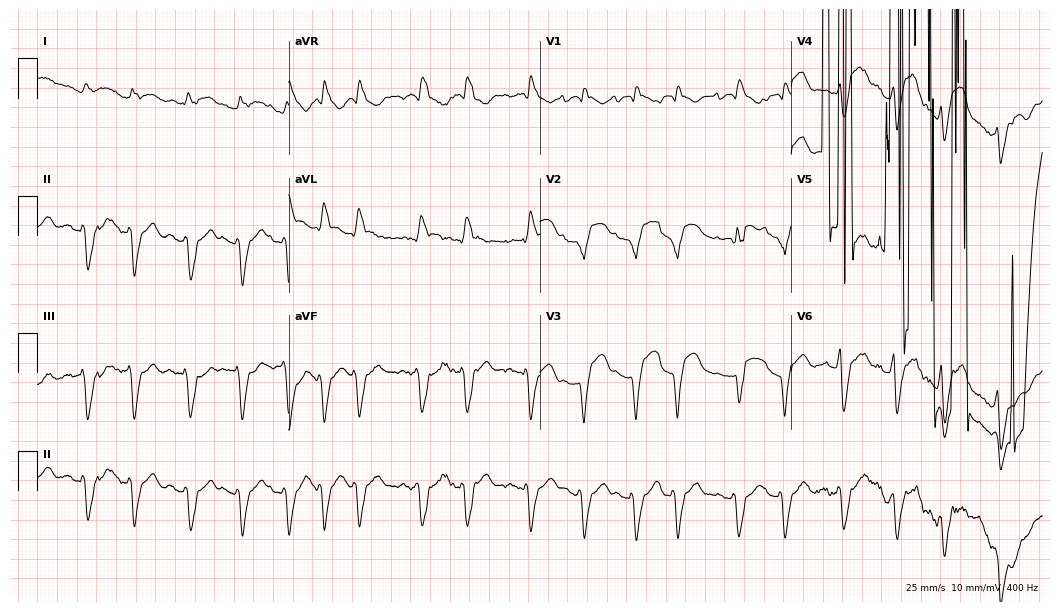
Electrocardiogram, a 75-year-old man. Of the six screened findings (first-degree AV block, right bundle branch block (RBBB), left bundle branch block (LBBB), sinus bradycardia, atrial fibrillation (AF), sinus tachycardia), none is recorded. Other findings, if any, are not listed.